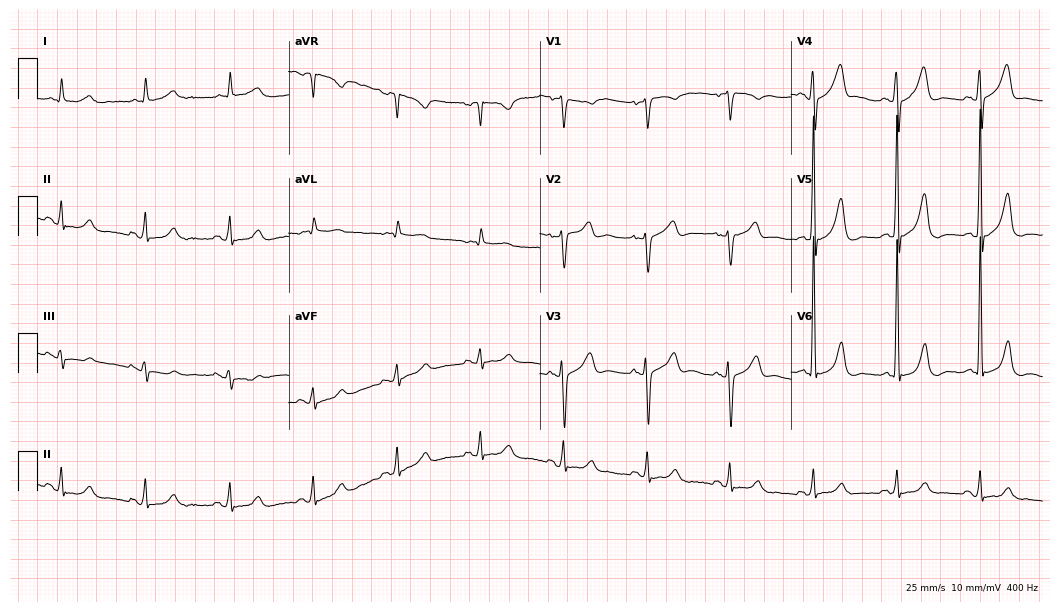
Standard 12-lead ECG recorded from a male patient, 74 years old (10.2-second recording at 400 Hz). Read as a normal ECG.